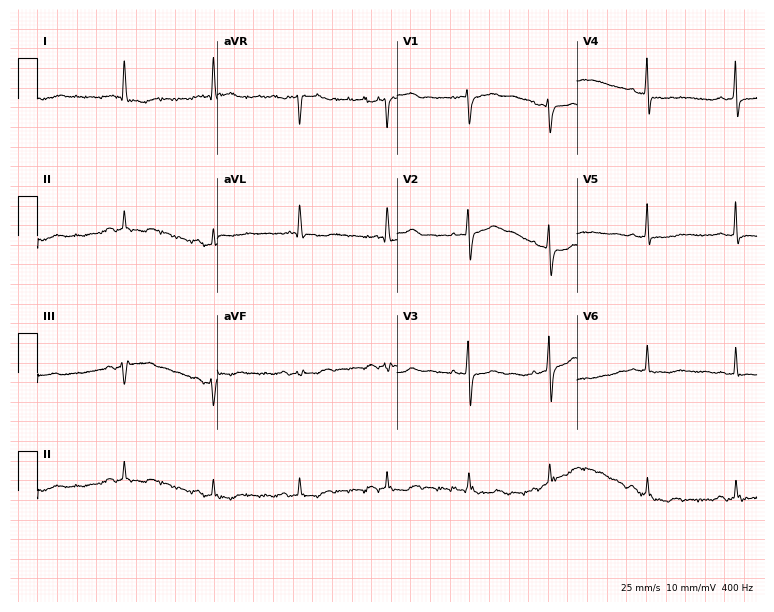
12-lead ECG from a 72-year-old female patient (7.3-second recording at 400 Hz). No first-degree AV block, right bundle branch block (RBBB), left bundle branch block (LBBB), sinus bradycardia, atrial fibrillation (AF) or sinus tachycardia recorded for this tracing. Only these six findings were labelled.